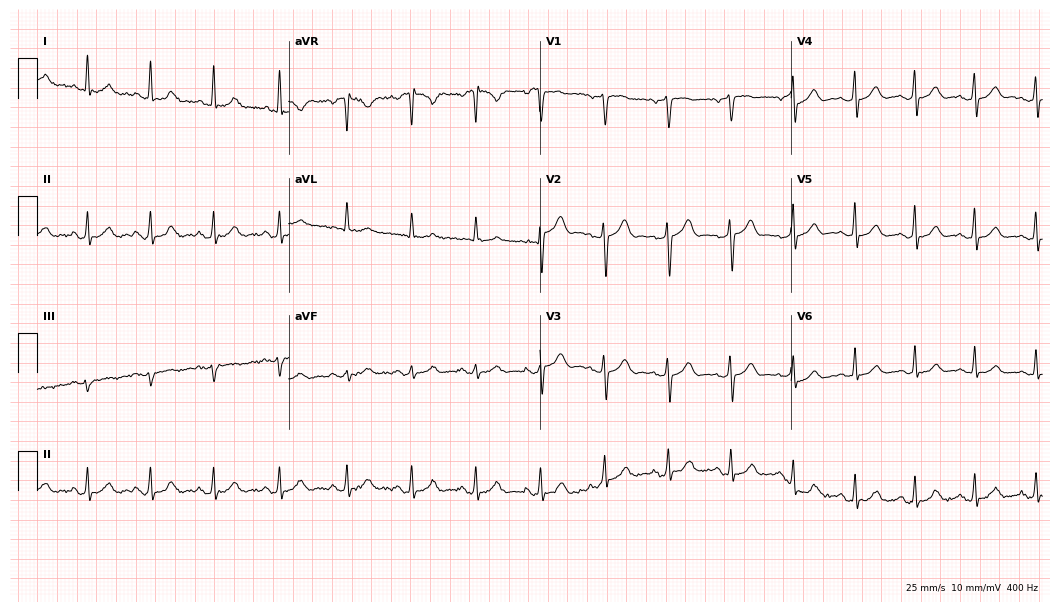
12-lead ECG (10.2-second recording at 400 Hz) from a 57-year-old woman. Labelled as a normal ECG.